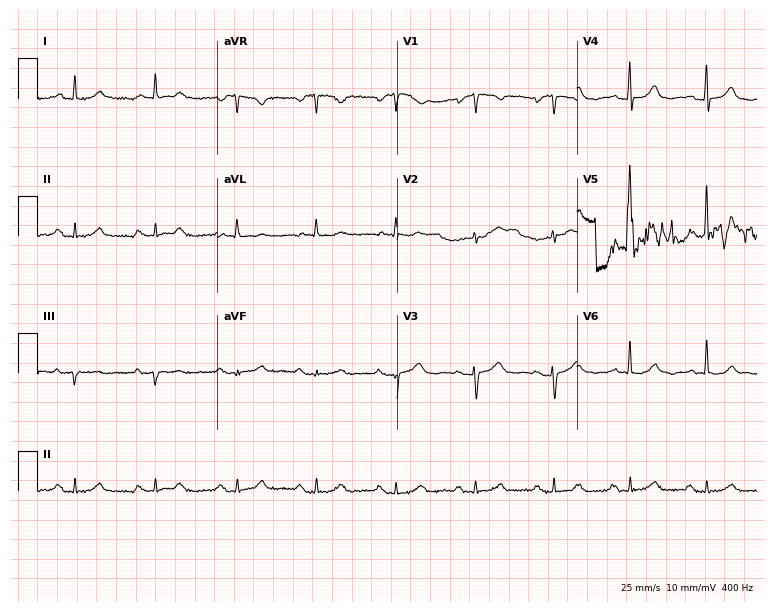
12-lead ECG (7.3-second recording at 400 Hz) from an 84-year-old female. Screened for six findings — first-degree AV block, right bundle branch block (RBBB), left bundle branch block (LBBB), sinus bradycardia, atrial fibrillation (AF), sinus tachycardia — none is recorded. Other findings, if any, are not listed.